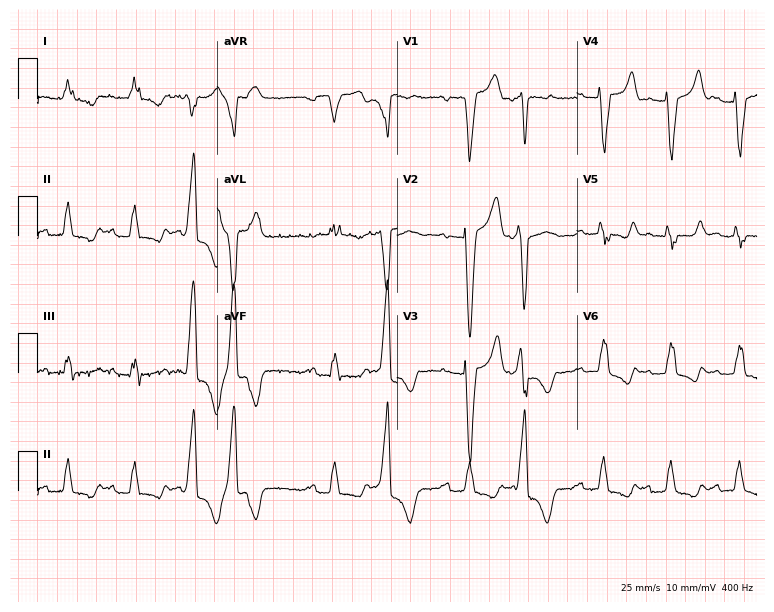
12-lead ECG from a 70-year-old woman. Shows first-degree AV block, left bundle branch block.